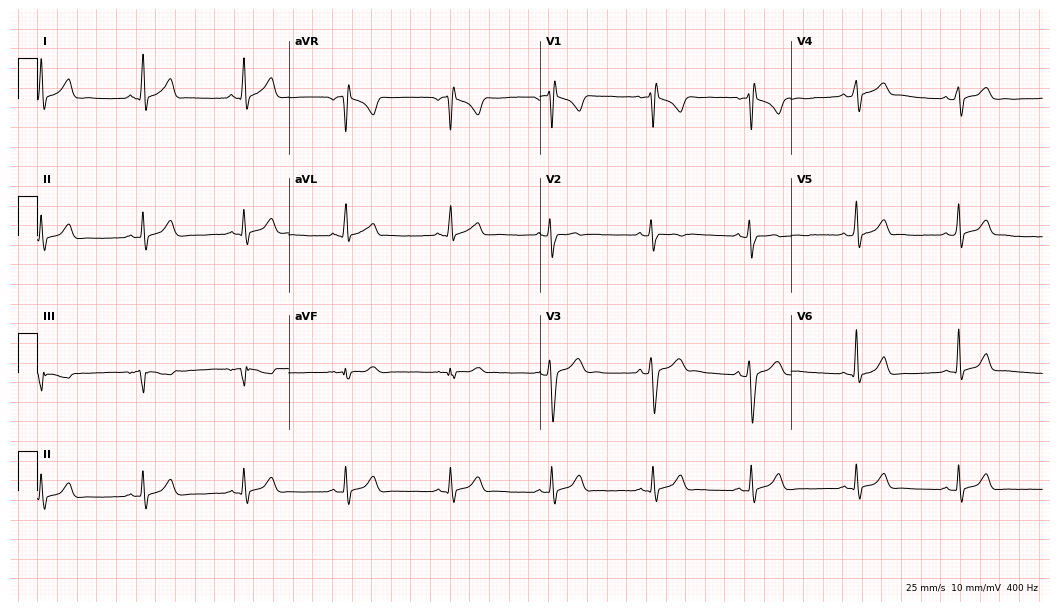
Standard 12-lead ECG recorded from an 18-year-old man. None of these six findings is recorded: first-degree AV block, right bundle branch block, left bundle branch block, sinus bradycardia, atrial fibrillation, sinus tachycardia. Other findings, if any, are not listed.